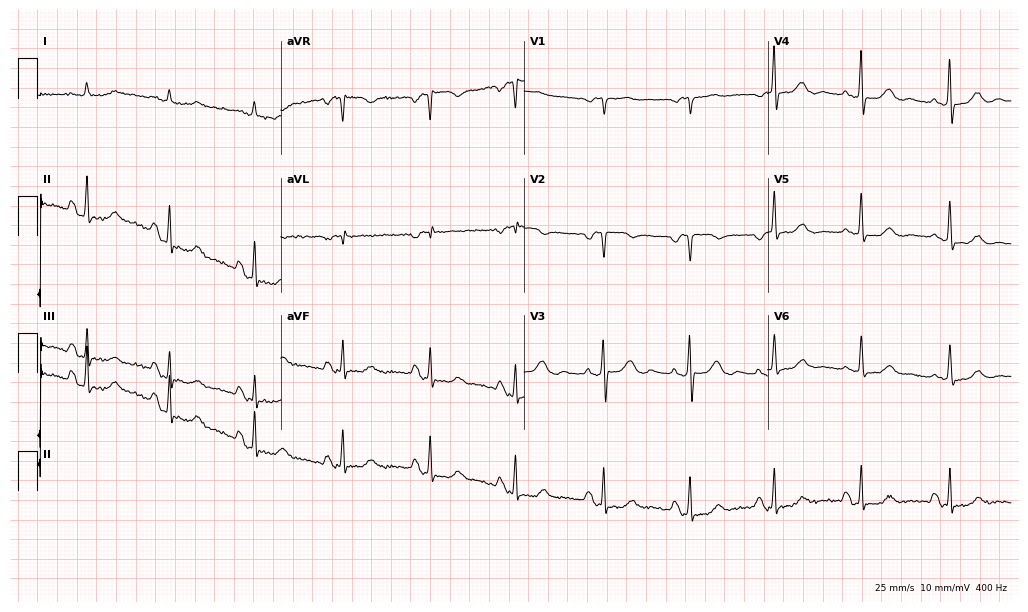
Electrocardiogram (9.9-second recording at 400 Hz), a woman, 78 years old. Of the six screened findings (first-degree AV block, right bundle branch block, left bundle branch block, sinus bradycardia, atrial fibrillation, sinus tachycardia), none is recorded. Other findings, if any, are not listed.